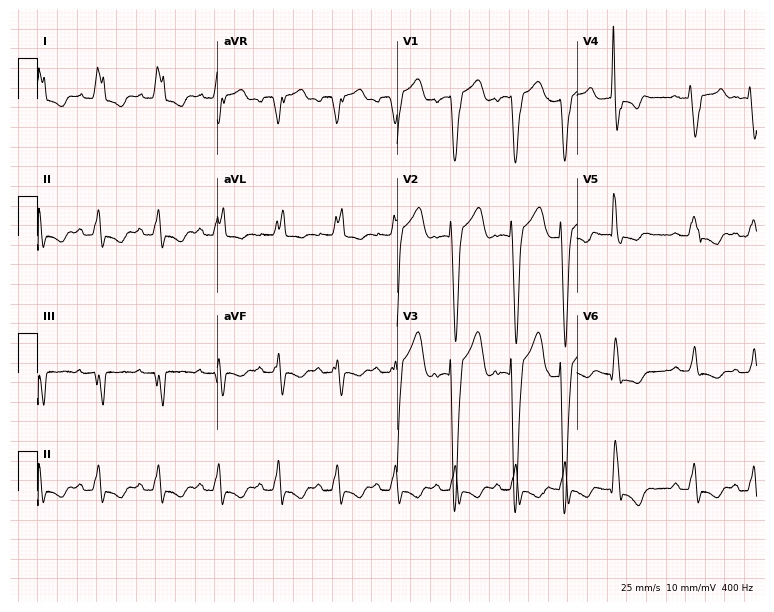
Electrocardiogram, a woman, 84 years old. Interpretation includes left bundle branch block.